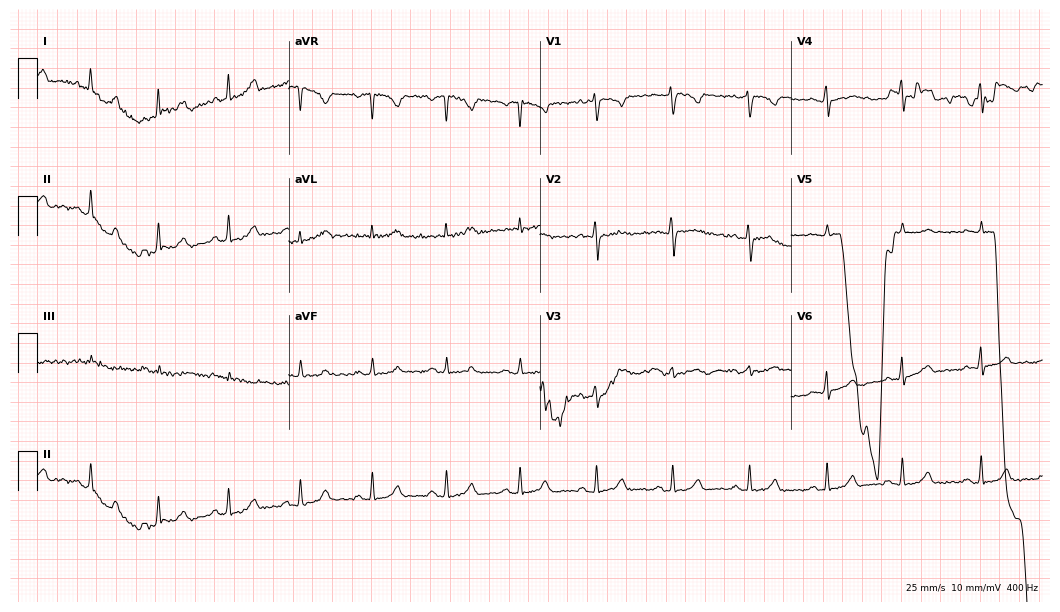
Resting 12-lead electrocardiogram. Patient: a female, 41 years old. None of these six findings is recorded: first-degree AV block, right bundle branch block, left bundle branch block, sinus bradycardia, atrial fibrillation, sinus tachycardia. Other findings, if any, are not listed.